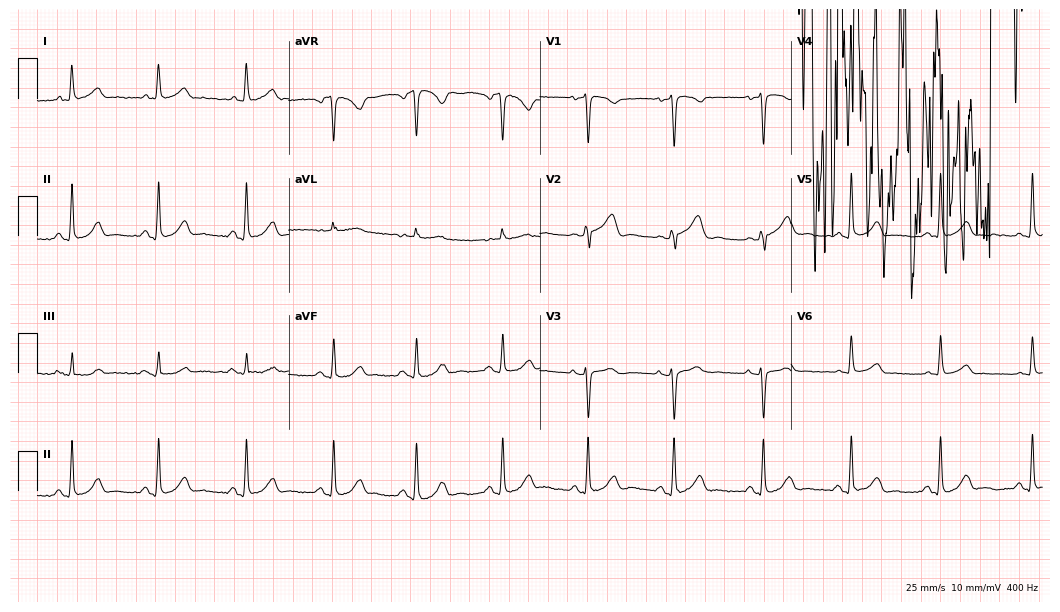
ECG — a 55-year-old female. Screened for six findings — first-degree AV block, right bundle branch block (RBBB), left bundle branch block (LBBB), sinus bradycardia, atrial fibrillation (AF), sinus tachycardia — none is recorded. Only these six findings were labelled.